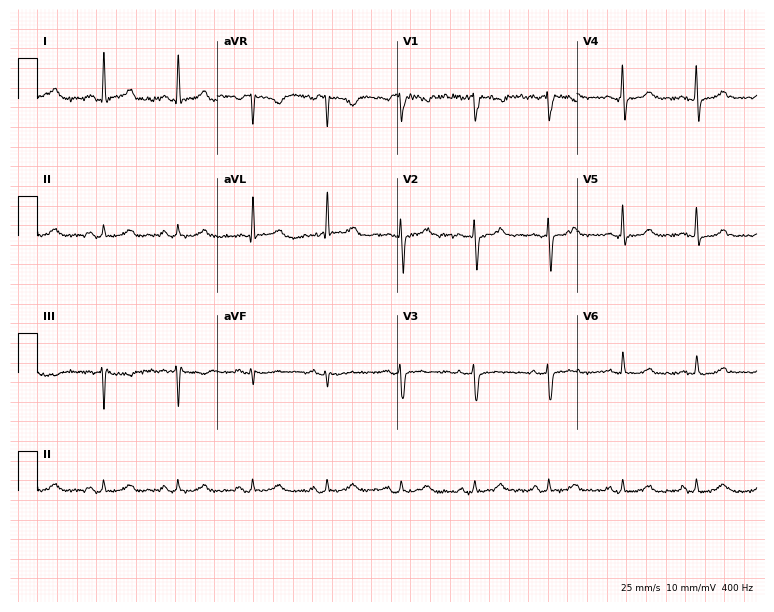
Resting 12-lead electrocardiogram (7.3-second recording at 400 Hz). Patient: a female, 43 years old. Read as a normal ECG.